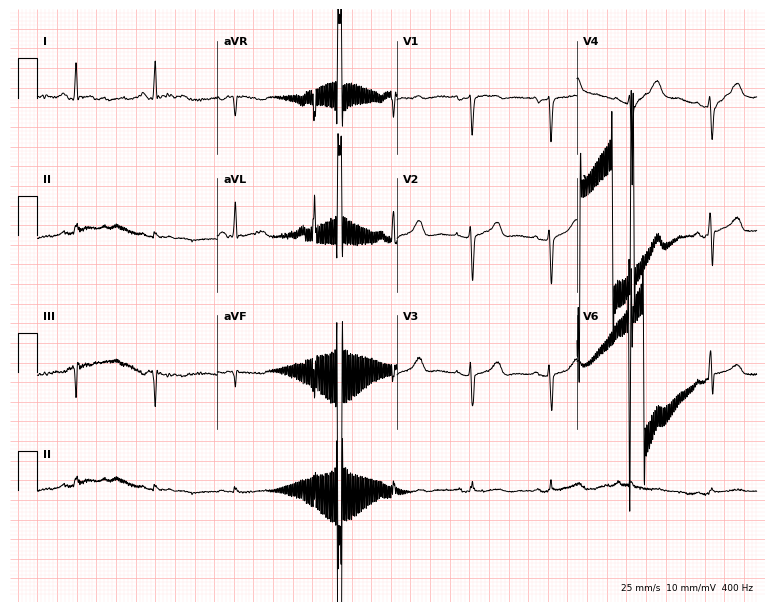
12-lead ECG (7.3-second recording at 400 Hz) from a 64-year-old female patient. Screened for six findings — first-degree AV block, right bundle branch block, left bundle branch block, sinus bradycardia, atrial fibrillation, sinus tachycardia — none is recorded.